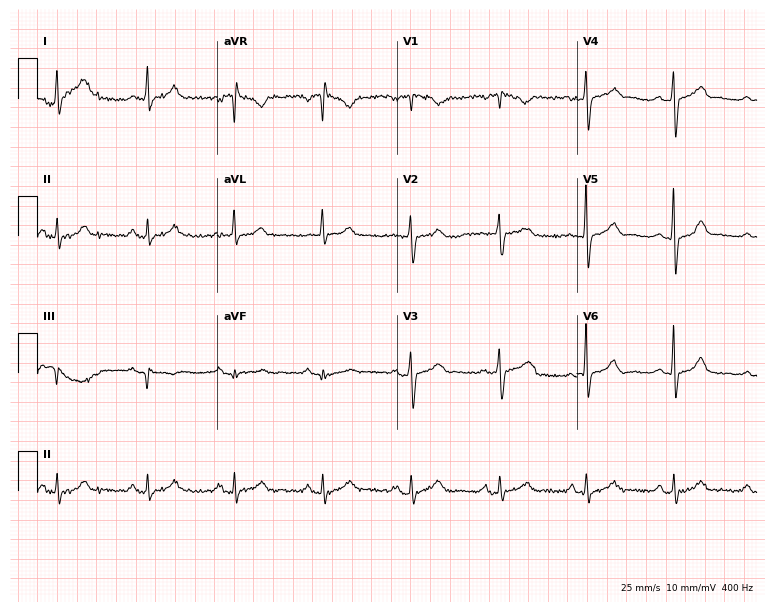
ECG — a man, 67 years old. Labelled as a normal ECG.